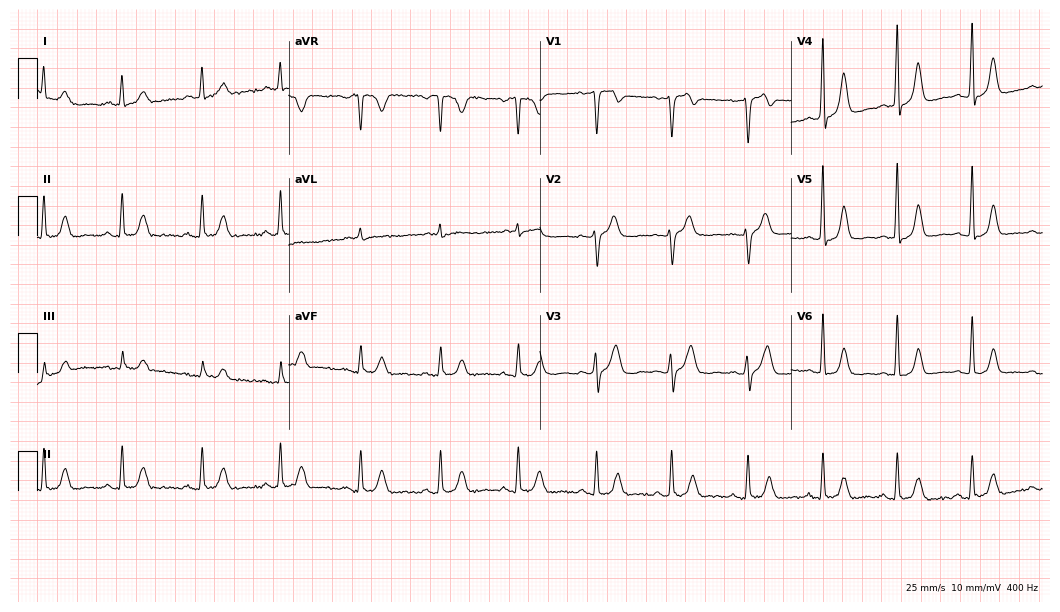
Resting 12-lead electrocardiogram. Patient: a woman, 62 years old. Read as a normal ECG.